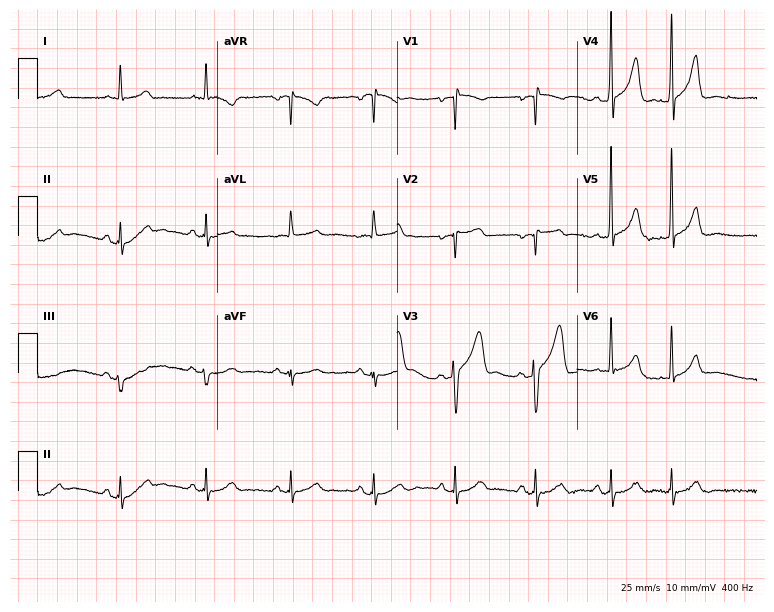
12-lead ECG from a 72-year-old man (7.3-second recording at 400 Hz). No first-degree AV block, right bundle branch block (RBBB), left bundle branch block (LBBB), sinus bradycardia, atrial fibrillation (AF) or sinus tachycardia recorded for this tracing.